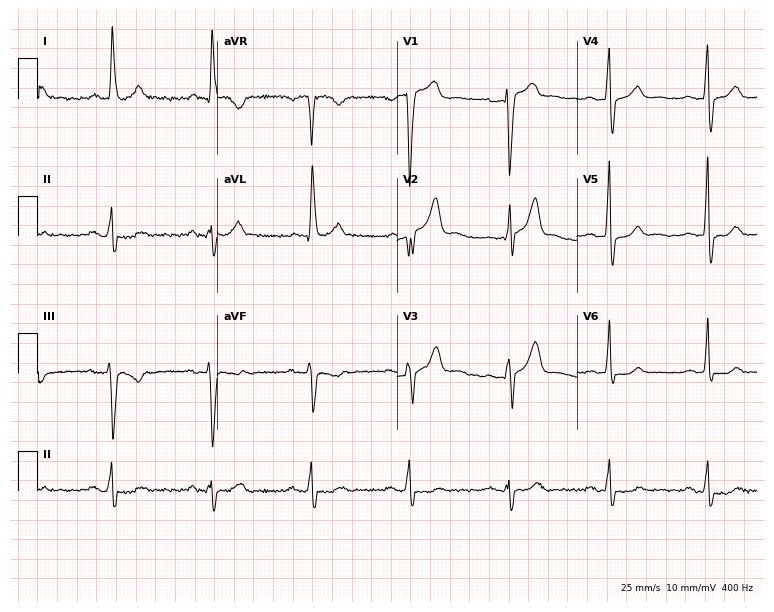
12-lead ECG (7.3-second recording at 400 Hz) from a male, 50 years old. Screened for six findings — first-degree AV block, right bundle branch block, left bundle branch block, sinus bradycardia, atrial fibrillation, sinus tachycardia — none is recorded. Findings outside these six are not listed.